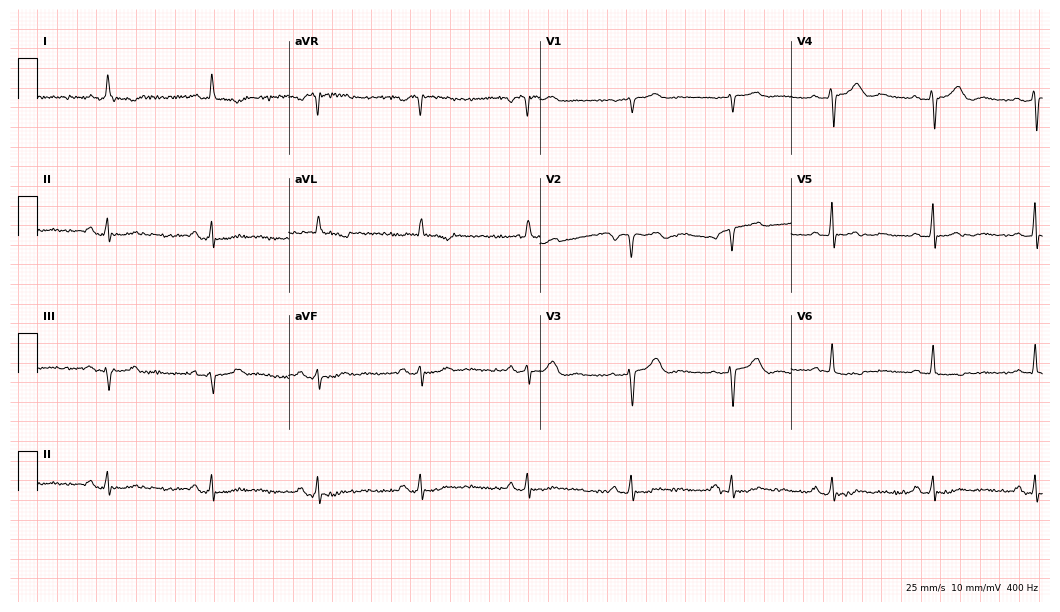
12-lead ECG (10.2-second recording at 400 Hz) from a 59-year-old male patient. Screened for six findings — first-degree AV block, right bundle branch block, left bundle branch block, sinus bradycardia, atrial fibrillation, sinus tachycardia — none is recorded. Findings outside these six are not listed.